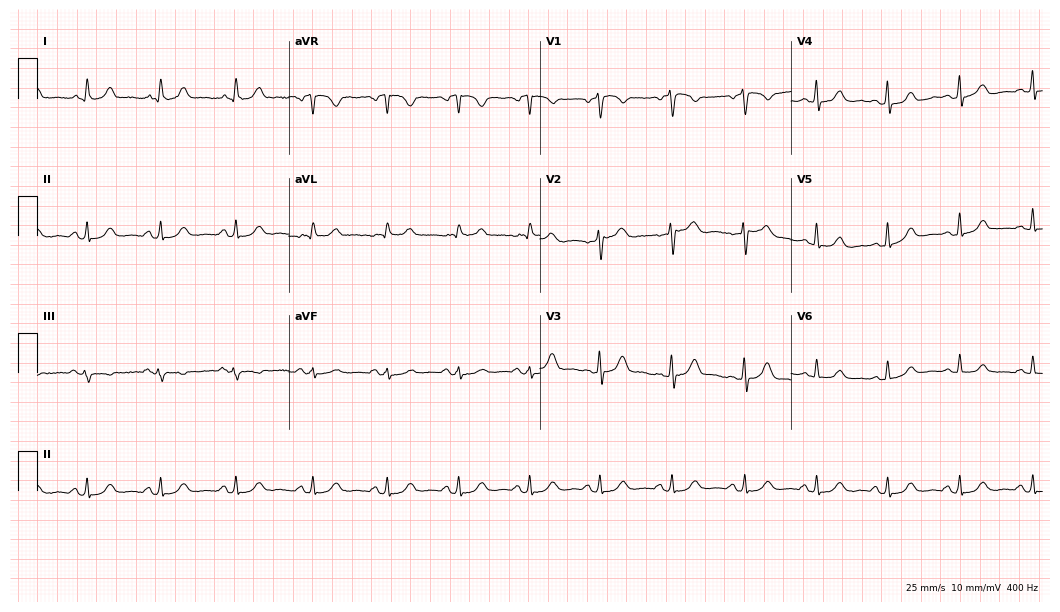
Standard 12-lead ECG recorded from a female, 48 years old. Read as a normal ECG.